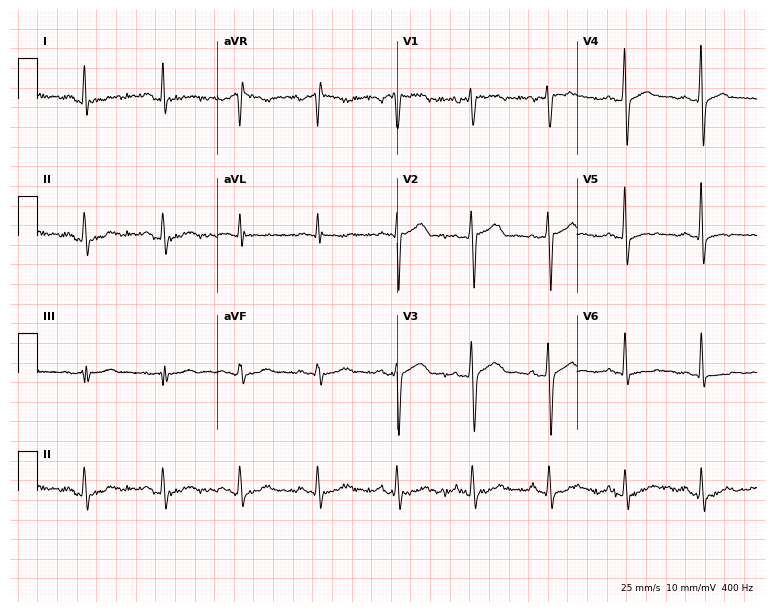
12-lead ECG (7.3-second recording at 400 Hz) from a 46-year-old male. Labelled as a normal ECG.